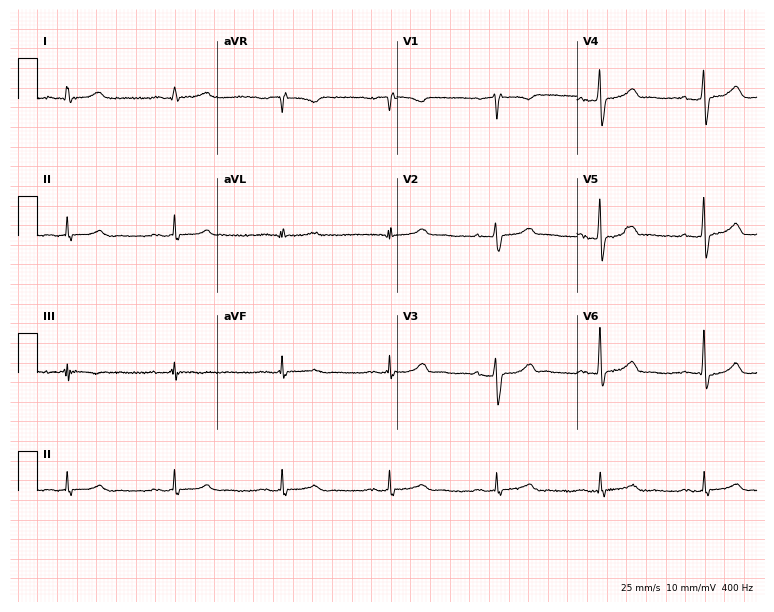
Resting 12-lead electrocardiogram. Patient: a 74-year-old male. Read as a normal ECG.